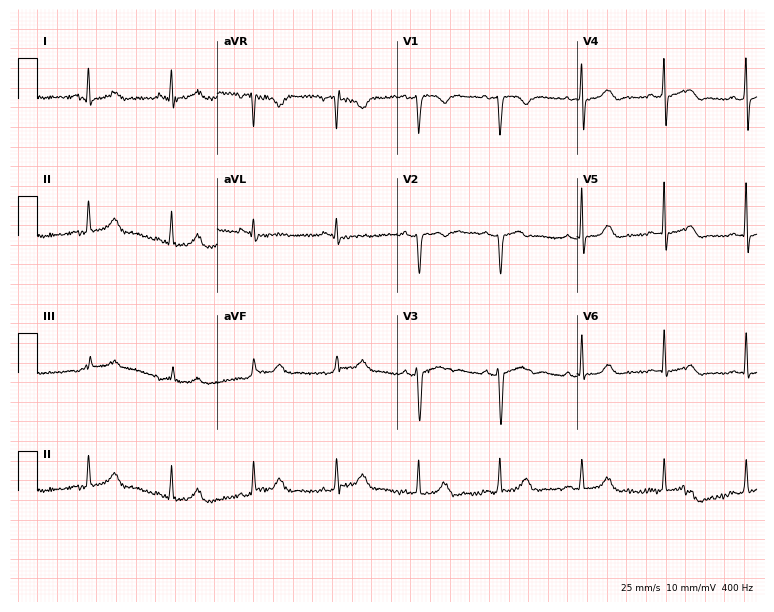
ECG (7.3-second recording at 400 Hz) — a 44-year-old female patient. Screened for six findings — first-degree AV block, right bundle branch block, left bundle branch block, sinus bradycardia, atrial fibrillation, sinus tachycardia — none is recorded.